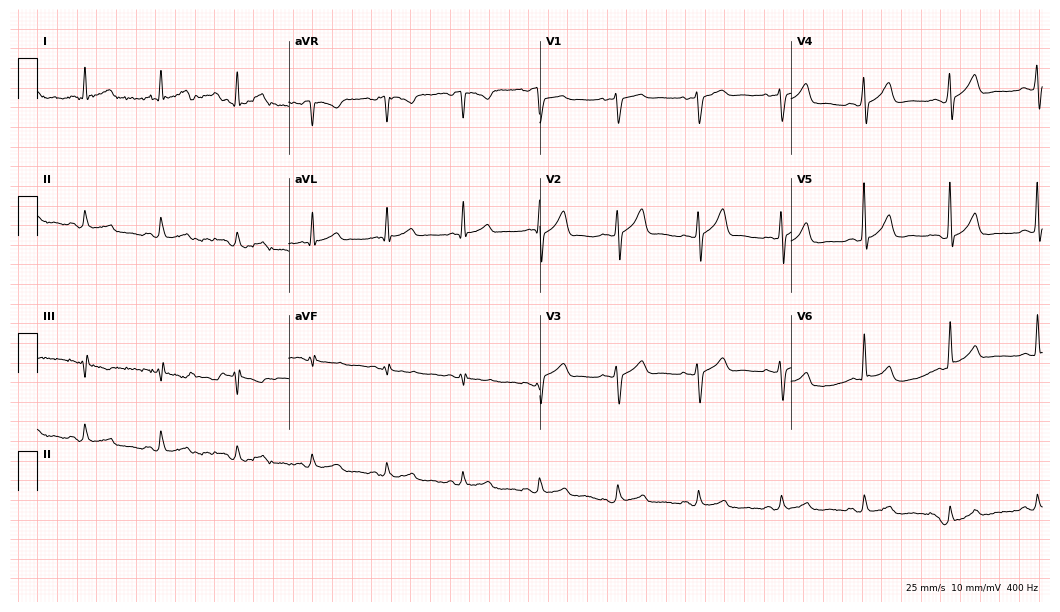
12-lead ECG (10.2-second recording at 400 Hz) from a man, 52 years old. Screened for six findings — first-degree AV block, right bundle branch block (RBBB), left bundle branch block (LBBB), sinus bradycardia, atrial fibrillation (AF), sinus tachycardia — none is recorded.